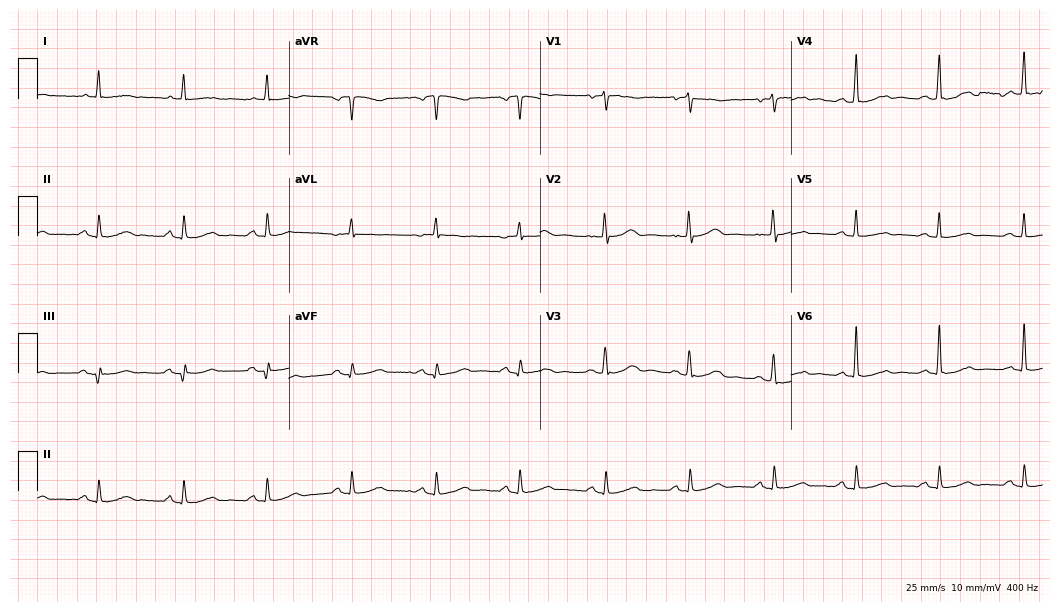
12-lead ECG from a female patient, 80 years old. No first-degree AV block, right bundle branch block (RBBB), left bundle branch block (LBBB), sinus bradycardia, atrial fibrillation (AF) or sinus tachycardia recorded for this tracing.